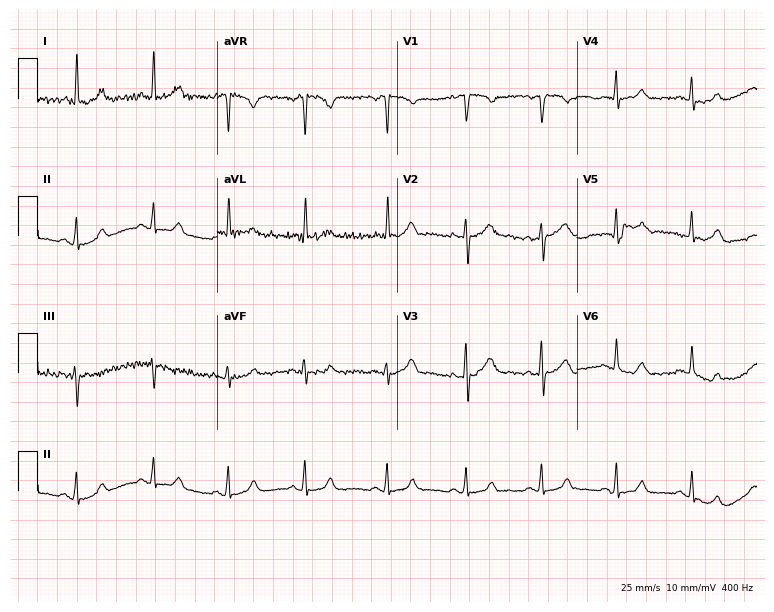
Electrocardiogram, a 45-year-old female. Overall reading on record: normal ECG.